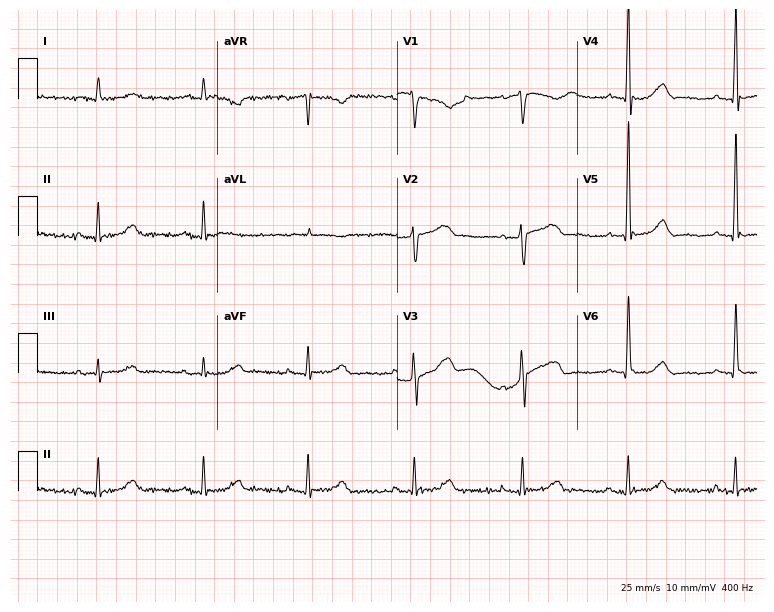
Electrocardiogram, a 70-year-old male. Of the six screened findings (first-degree AV block, right bundle branch block (RBBB), left bundle branch block (LBBB), sinus bradycardia, atrial fibrillation (AF), sinus tachycardia), none is recorded. Other findings, if any, are not listed.